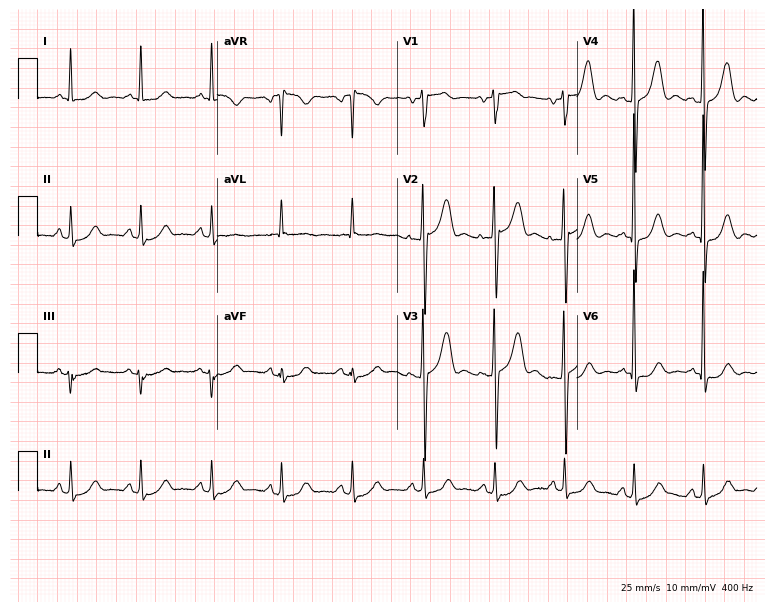
Electrocardiogram, a male, 68 years old. Of the six screened findings (first-degree AV block, right bundle branch block, left bundle branch block, sinus bradycardia, atrial fibrillation, sinus tachycardia), none is recorded. Other findings, if any, are not listed.